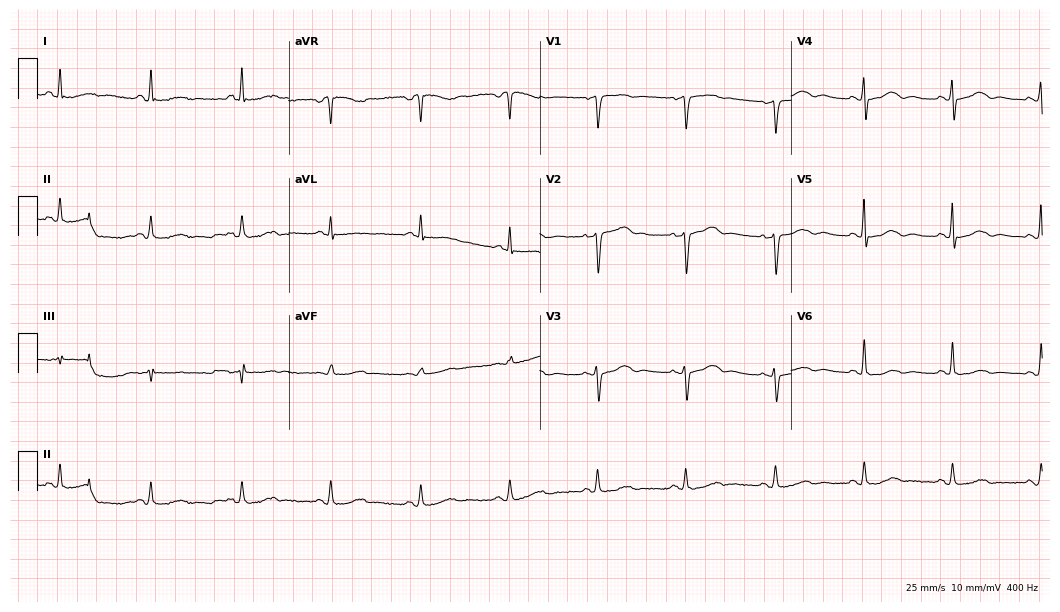
12-lead ECG from a female, 74 years old (10.2-second recording at 400 Hz). No first-degree AV block, right bundle branch block, left bundle branch block, sinus bradycardia, atrial fibrillation or sinus tachycardia recorded for this tracing.